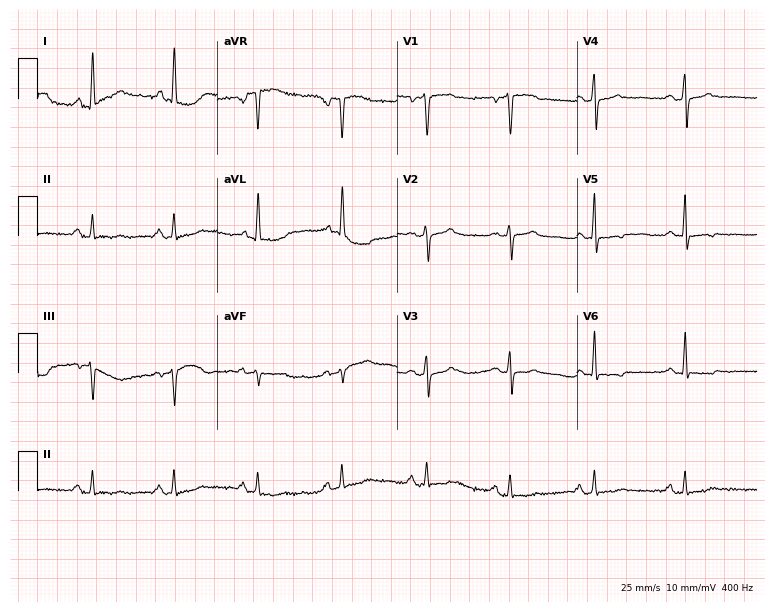
Electrocardiogram, a 38-year-old female. Of the six screened findings (first-degree AV block, right bundle branch block (RBBB), left bundle branch block (LBBB), sinus bradycardia, atrial fibrillation (AF), sinus tachycardia), none is recorded. Findings outside these six are not listed.